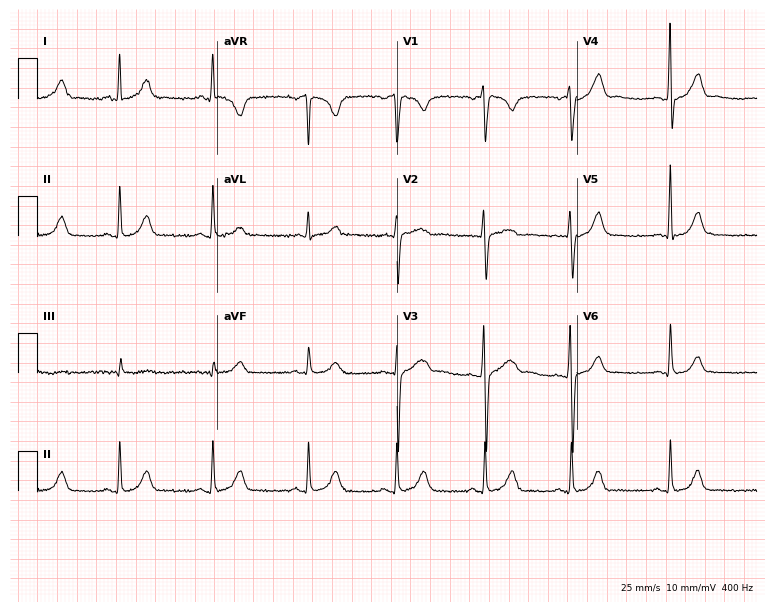
Standard 12-lead ECG recorded from a female, 17 years old. Read as a normal ECG.